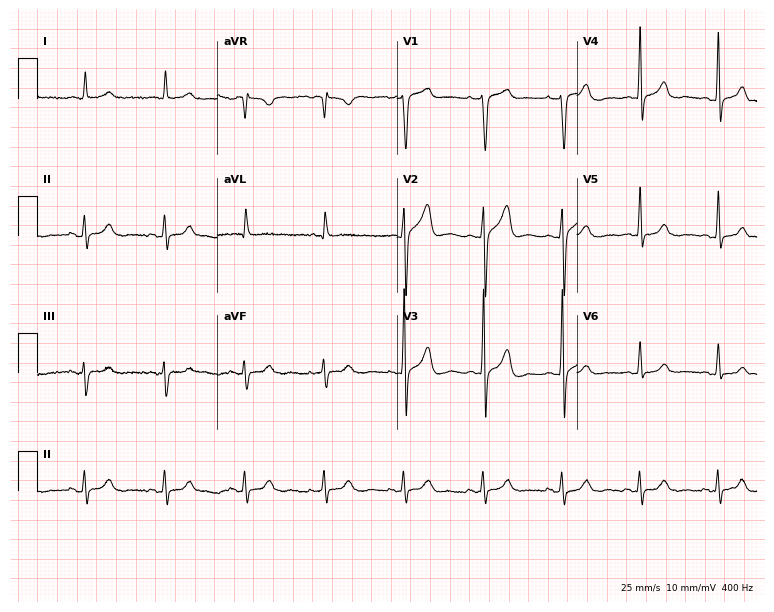
Electrocardiogram, an 85-year-old male patient. Overall reading on record: normal ECG.